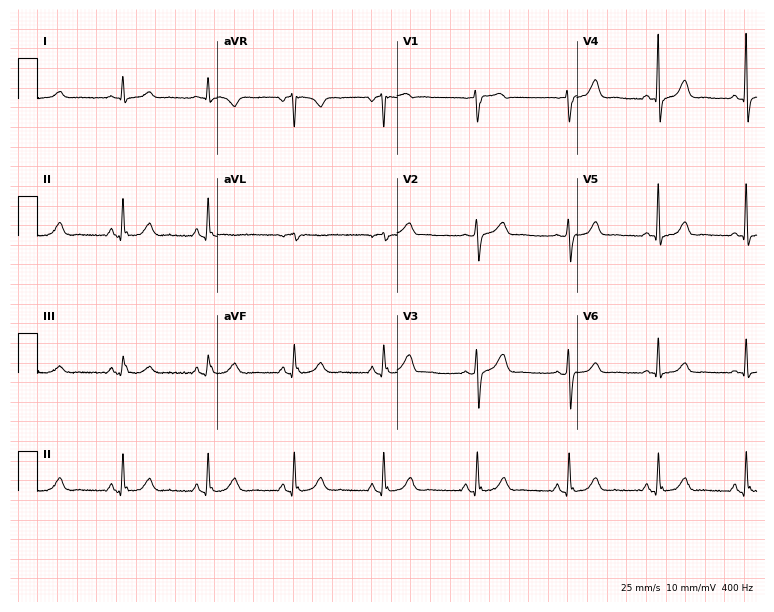
Standard 12-lead ECG recorded from a 62-year-old female patient (7.3-second recording at 400 Hz). Read as a normal ECG.